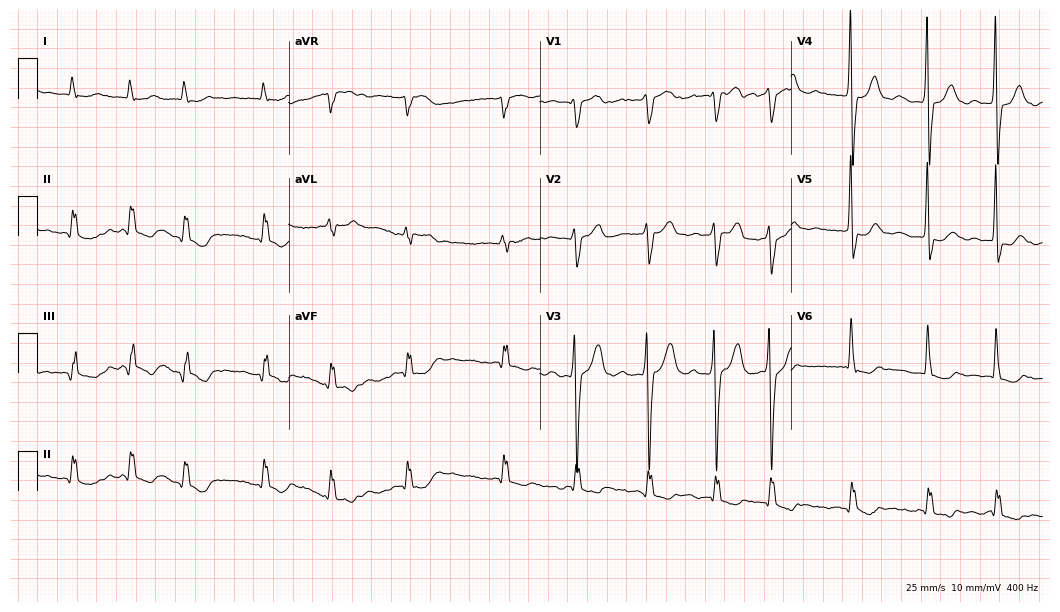
12-lead ECG from a man, 74 years old (10.2-second recording at 400 Hz). Shows atrial fibrillation.